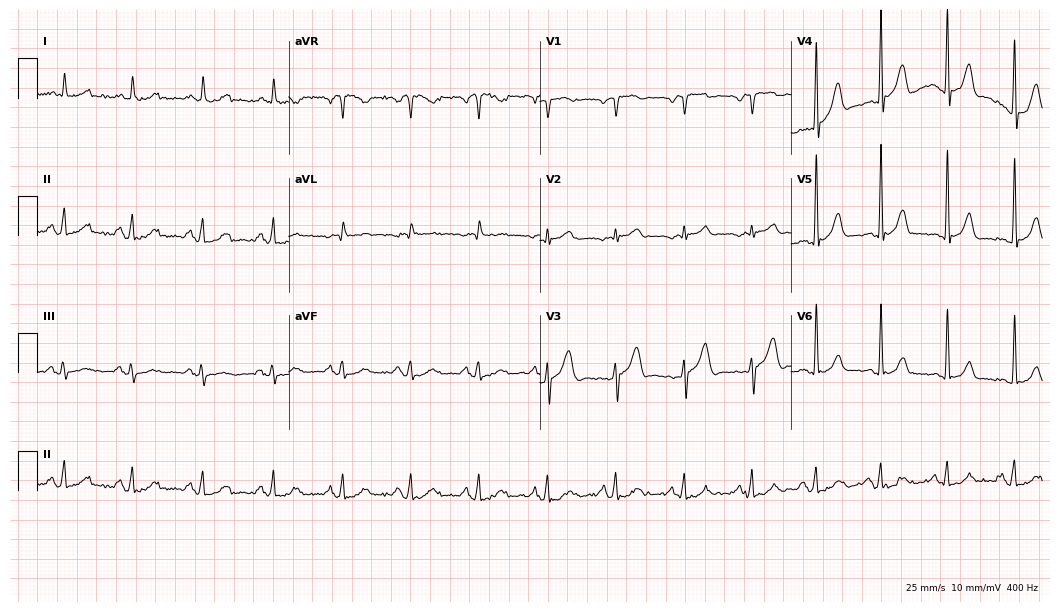
ECG (10.2-second recording at 400 Hz) — a male, 62 years old. Labelled as a normal ECG.